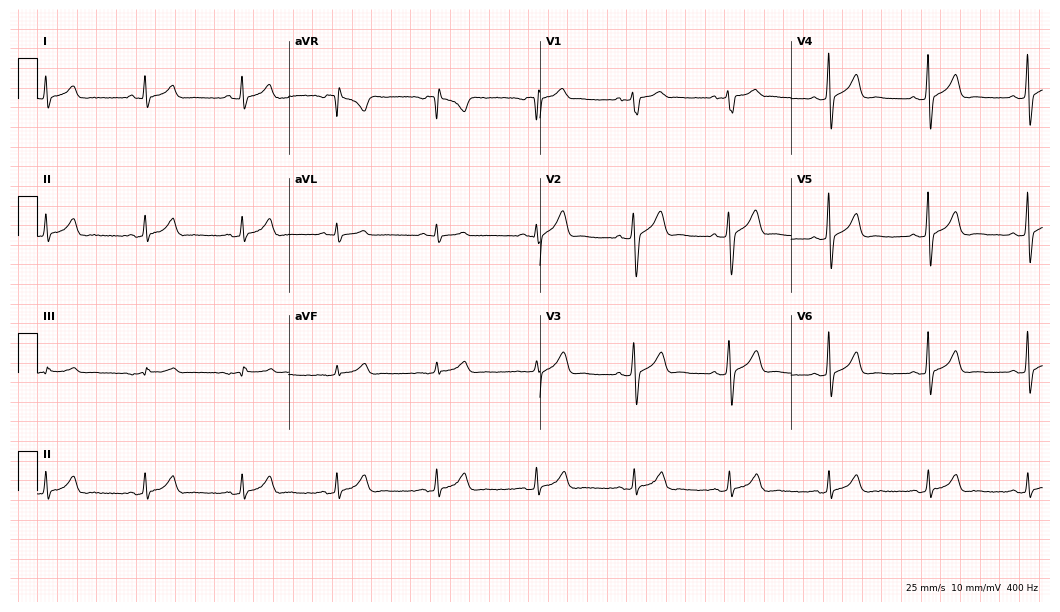
ECG — a 36-year-old male patient. Labelled as a normal ECG.